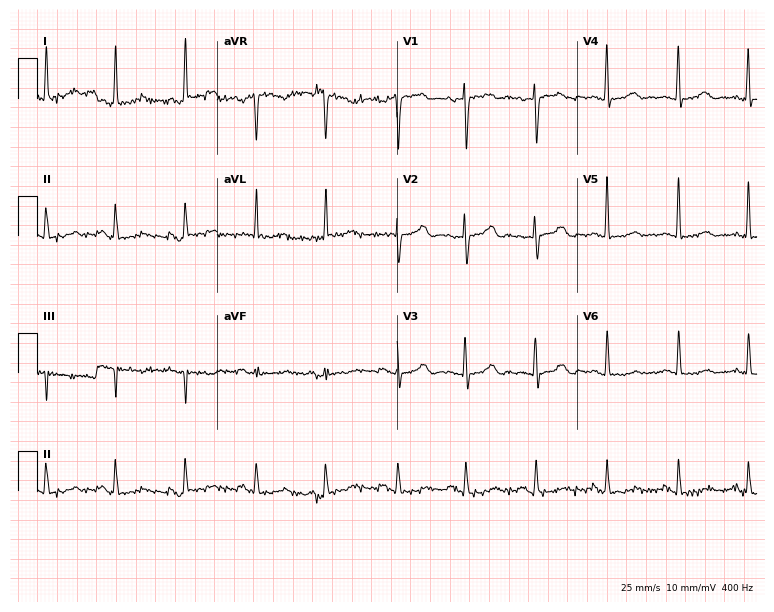
ECG — an 83-year-old female patient. Screened for six findings — first-degree AV block, right bundle branch block, left bundle branch block, sinus bradycardia, atrial fibrillation, sinus tachycardia — none is recorded.